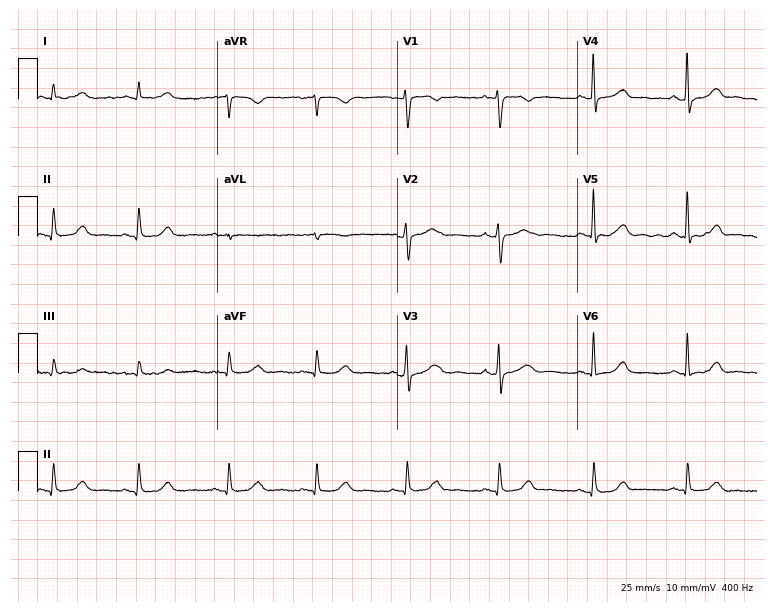
12-lead ECG from a 51-year-old female. No first-degree AV block, right bundle branch block (RBBB), left bundle branch block (LBBB), sinus bradycardia, atrial fibrillation (AF) or sinus tachycardia recorded for this tracing. Only these six findings were labelled.